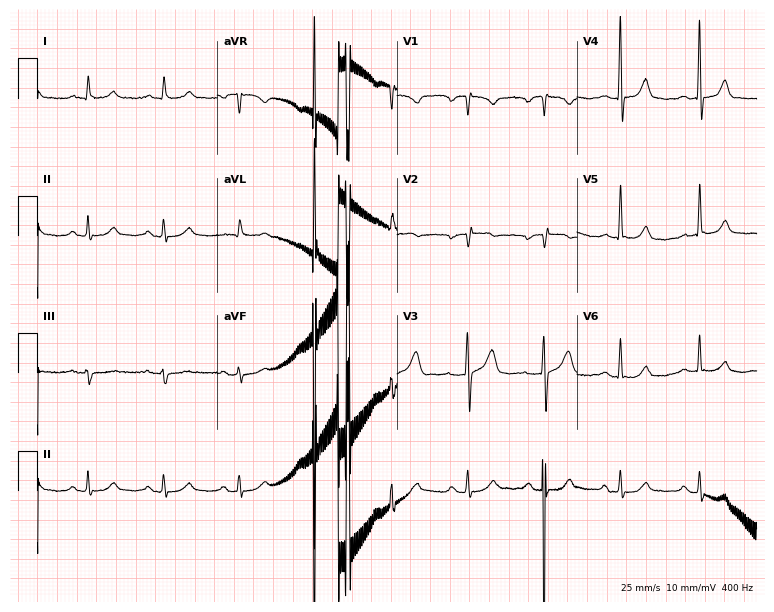
12-lead ECG from a male, 76 years old. No first-degree AV block, right bundle branch block (RBBB), left bundle branch block (LBBB), sinus bradycardia, atrial fibrillation (AF) or sinus tachycardia recorded for this tracing.